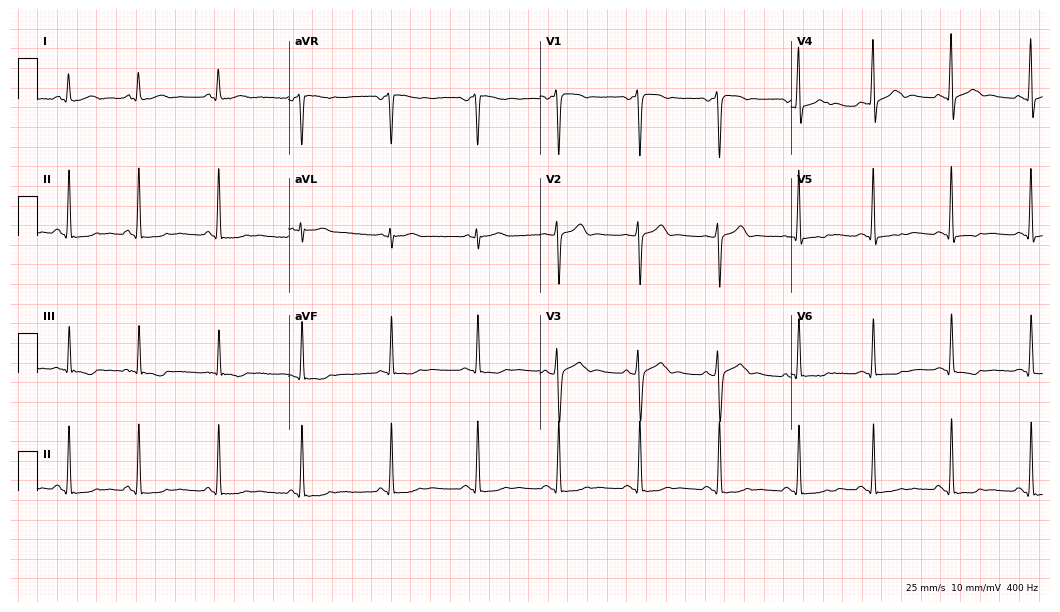
Electrocardiogram (10.2-second recording at 400 Hz), a 26-year-old man. Of the six screened findings (first-degree AV block, right bundle branch block, left bundle branch block, sinus bradycardia, atrial fibrillation, sinus tachycardia), none is recorded. Findings outside these six are not listed.